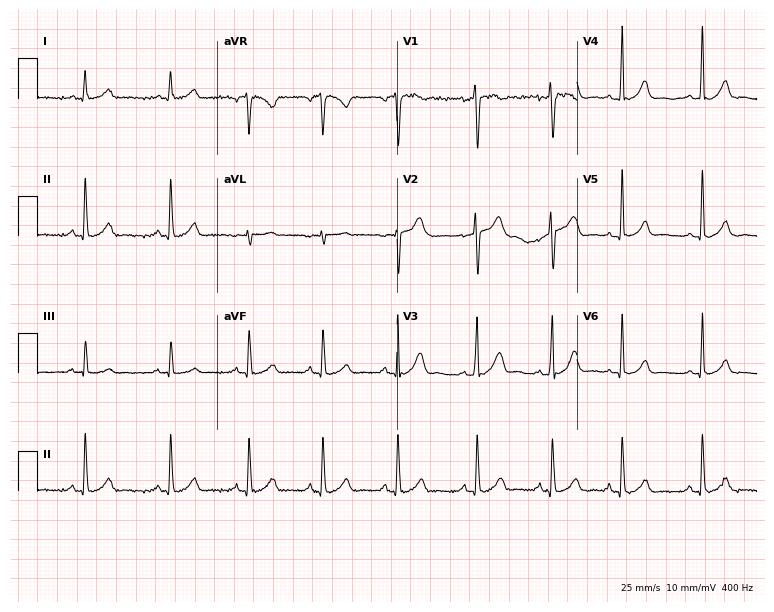
Standard 12-lead ECG recorded from a 19-year-old male (7.3-second recording at 400 Hz). Read as a normal ECG.